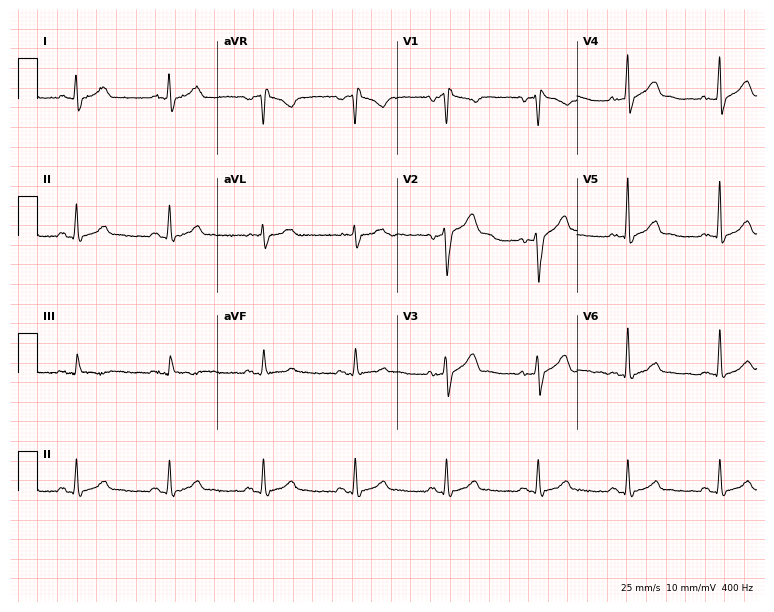
Electrocardiogram, a 43-year-old man. Of the six screened findings (first-degree AV block, right bundle branch block, left bundle branch block, sinus bradycardia, atrial fibrillation, sinus tachycardia), none is recorded.